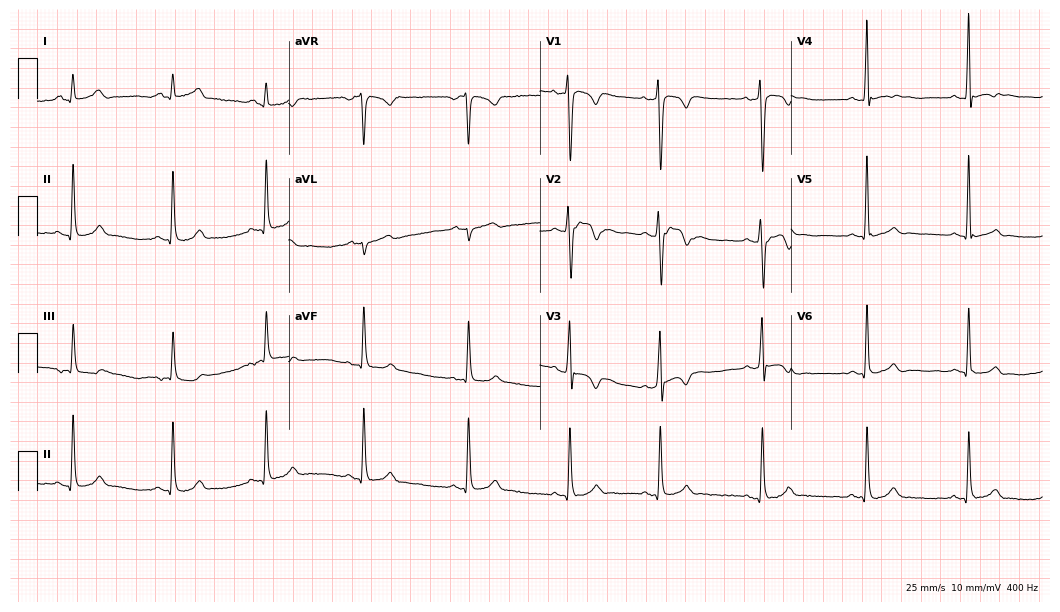
Resting 12-lead electrocardiogram. Patient: a man, 19 years old. Read as a normal ECG.